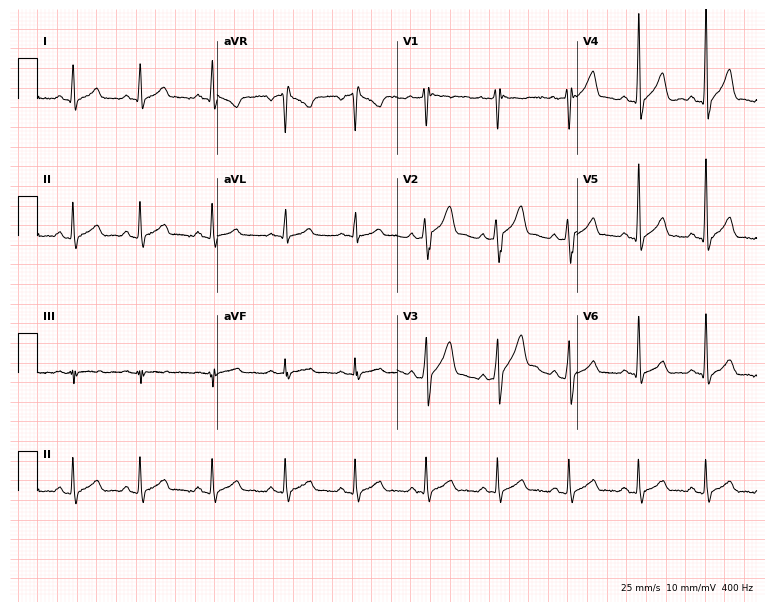
Standard 12-lead ECG recorded from a 36-year-old male patient (7.3-second recording at 400 Hz). None of these six findings is recorded: first-degree AV block, right bundle branch block (RBBB), left bundle branch block (LBBB), sinus bradycardia, atrial fibrillation (AF), sinus tachycardia. Only these six findings were labelled.